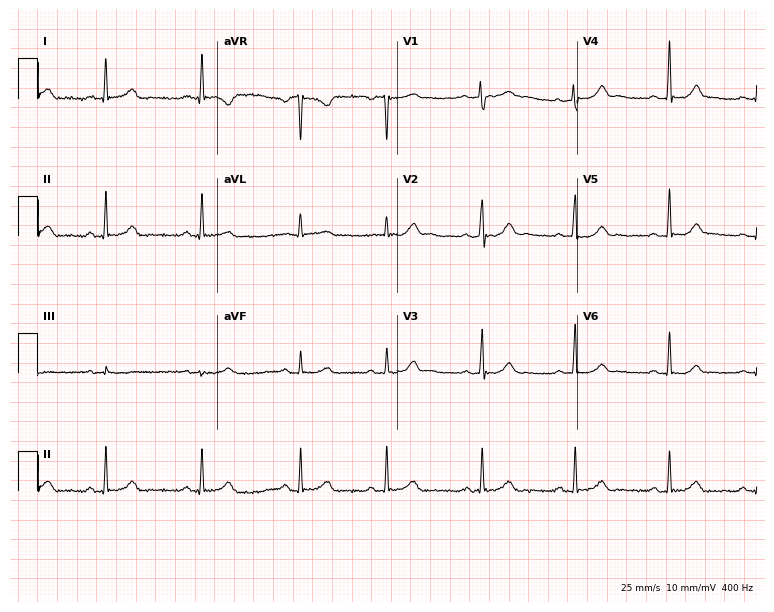
Resting 12-lead electrocardiogram. Patient: a 44-year-old female. Read as a normal ECG.